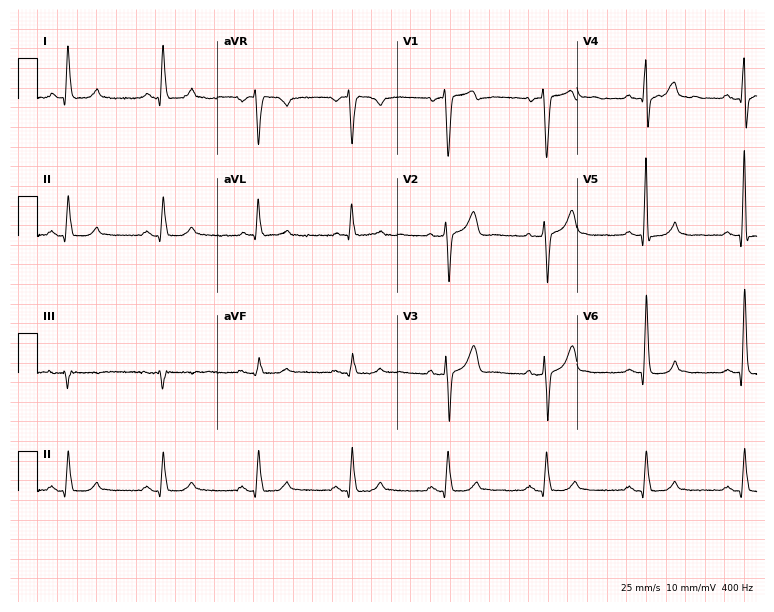
12-lead ECG (7.3-second recording at 400 Hz) from a 56-year-old man. Labelled as a normal ECG.